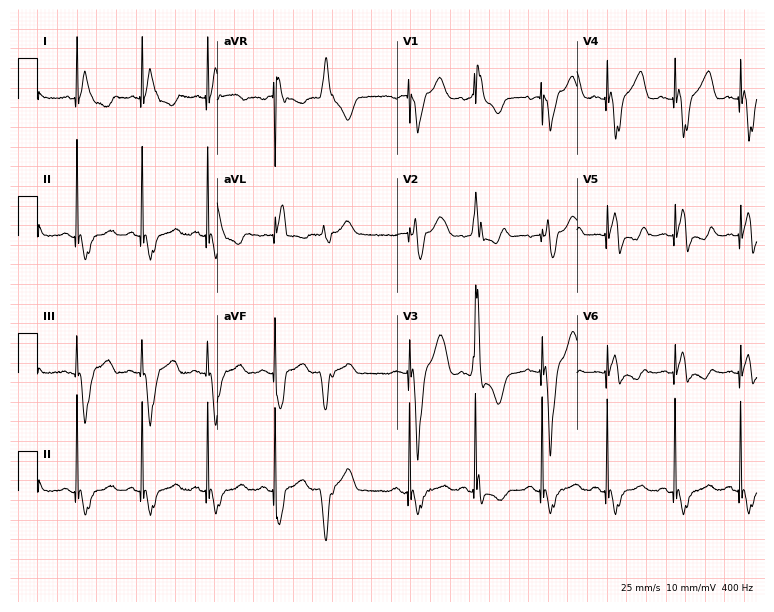
Electrocardiogram, a 78-year-old male. Of the six screened findings (first-degree AV block, right bundle branch block (RBBB), left bundle branch block (LBBB), sinus bradycardia, atrial fibrillation (AF), sinus tachycardia), none is recorded.